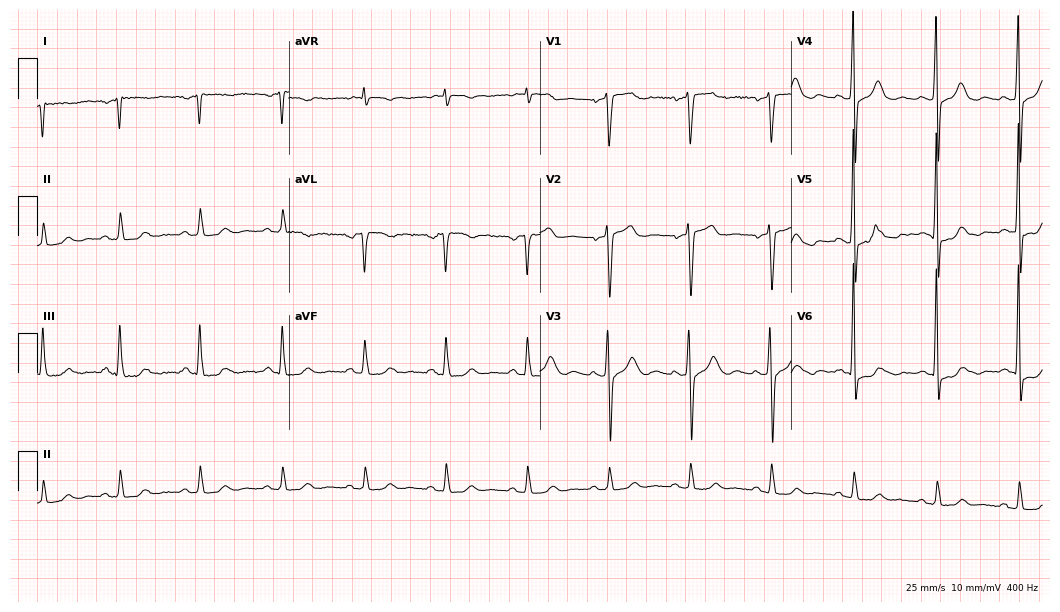
12-lead ECG from a male patient, 69 years old (10.2-second recording at 400 Hz). No first-degree AV block, right bundle branch block, left bundle branch block, sinus bradycardia, atrial fibrillation or sinus tachycardia recorded for this tracing.